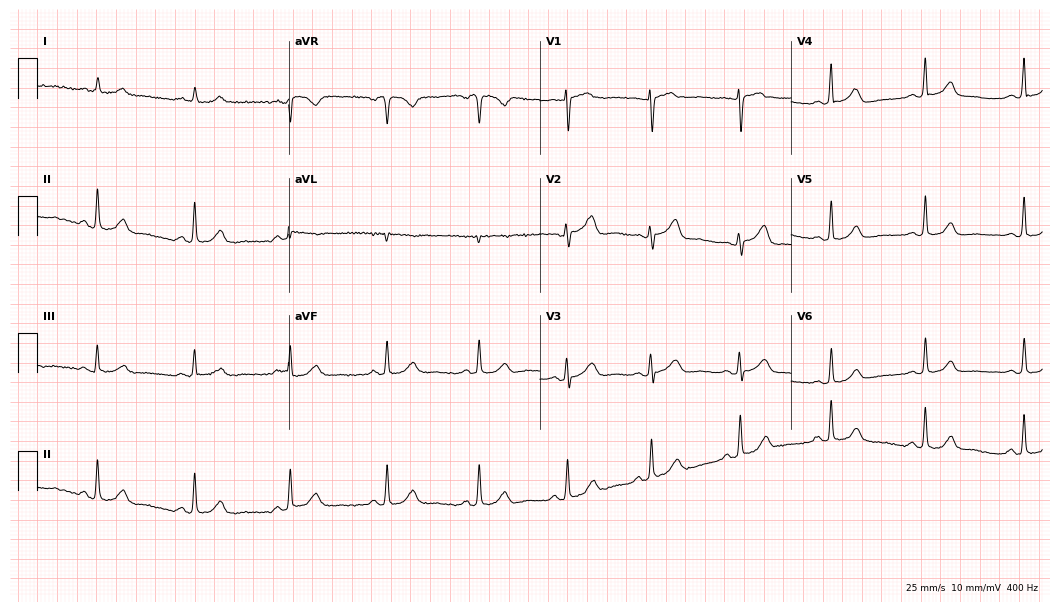
Electrocardiogram (10.2-second recording at 400 Hz), a female patient, 52 years old. Overall reading on record: normal ECG.